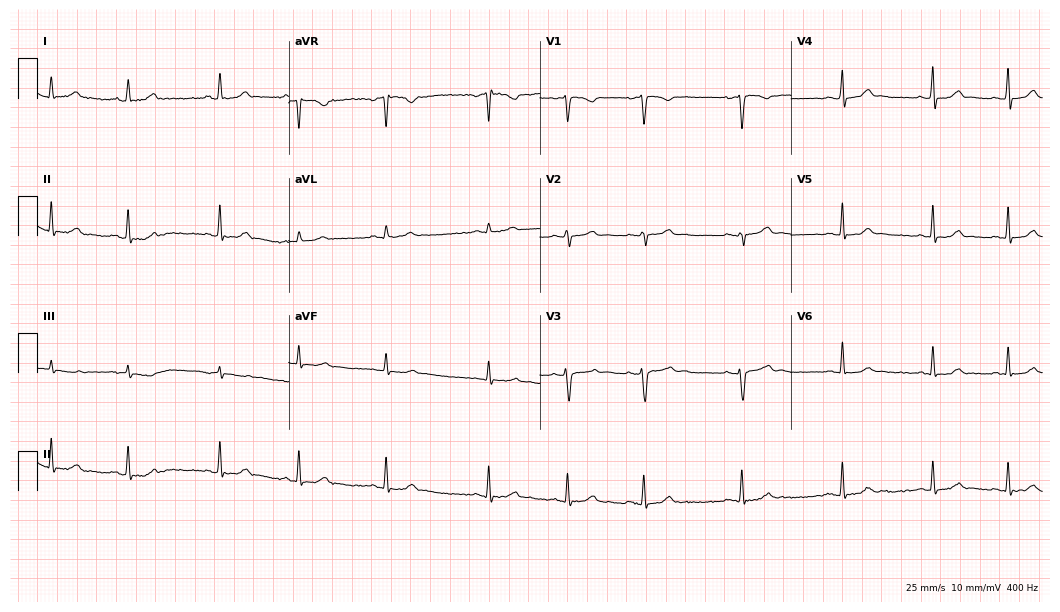
12-lead ECG (10.2-second recording at 400 Hz) from a 19-year-old woman. Labelled as a normal ECG.